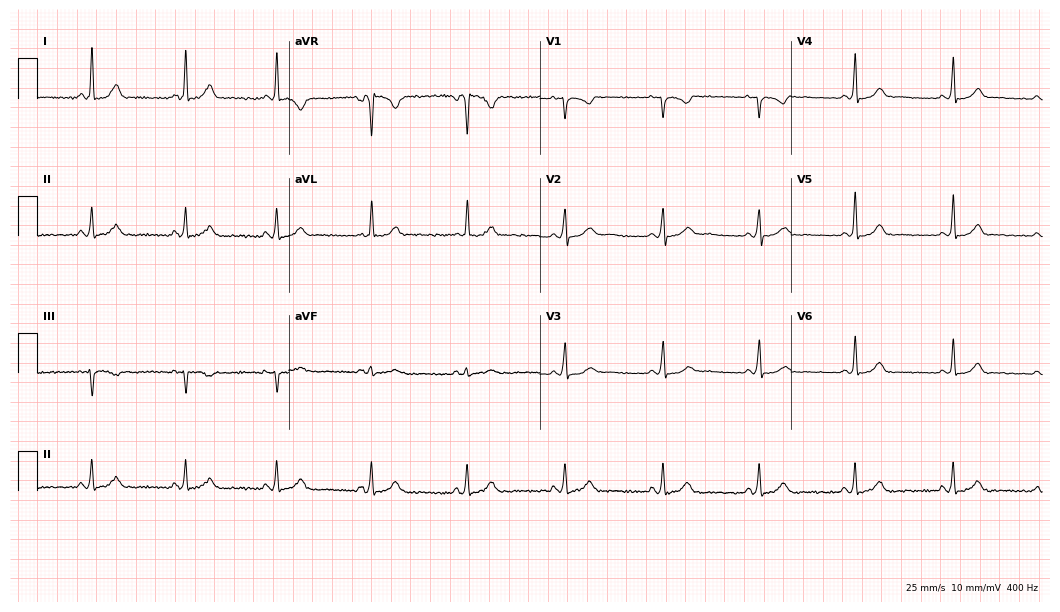
Electrocardiogram, a female, 32 years old. Overall reading on record: normal ECG.